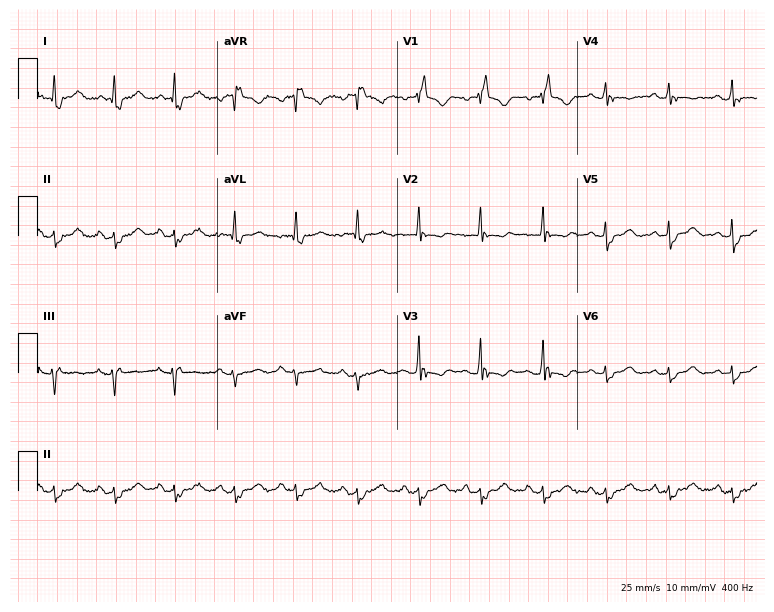
12-lead ECG from a female, 68 years old (7.3-second recording at 400 Hz). No first-degree AV block, right bundle branch block, left bundle branch block, sinus bradycardia, atrial fibrillation or sinus tachycardia recorded for this tracing. Only these six findings were labelled.